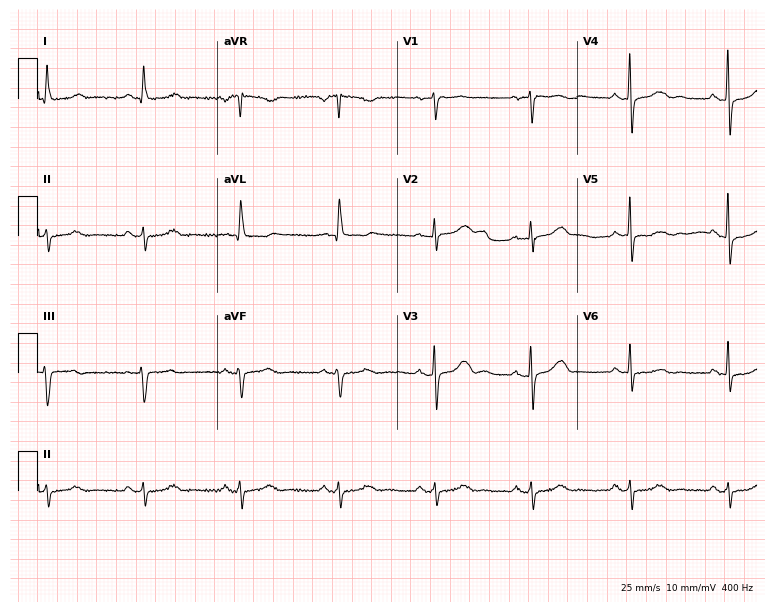
Electrocardiogram (7.3-second recording at 400 Hz), a 63-year-old female. Of the six screened findings (first-degree AV block, right bundle branch block, left bundle branch block, sinus bradycardia, atrial fibrillation, sinus tachycardia), none is recorded.